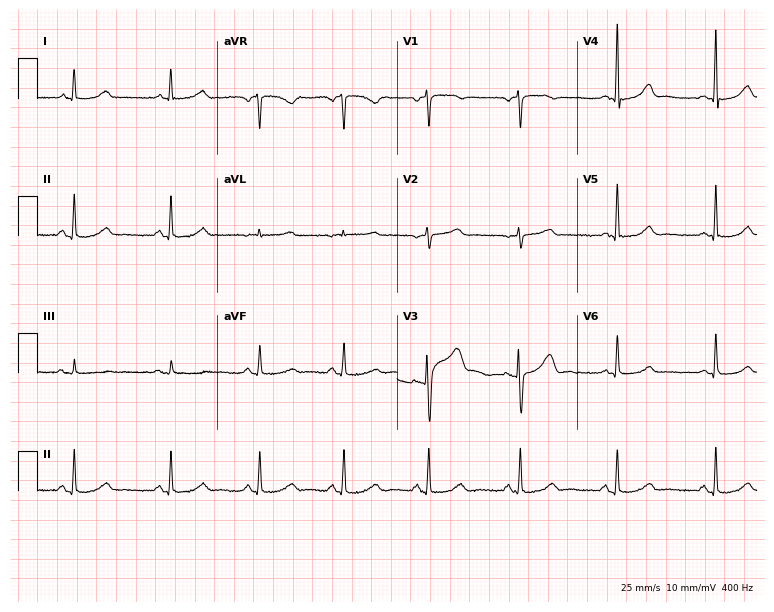
Resting 12-lead electrocardiogram. Patient: a female, 61 years old. Read as a normal ECG.